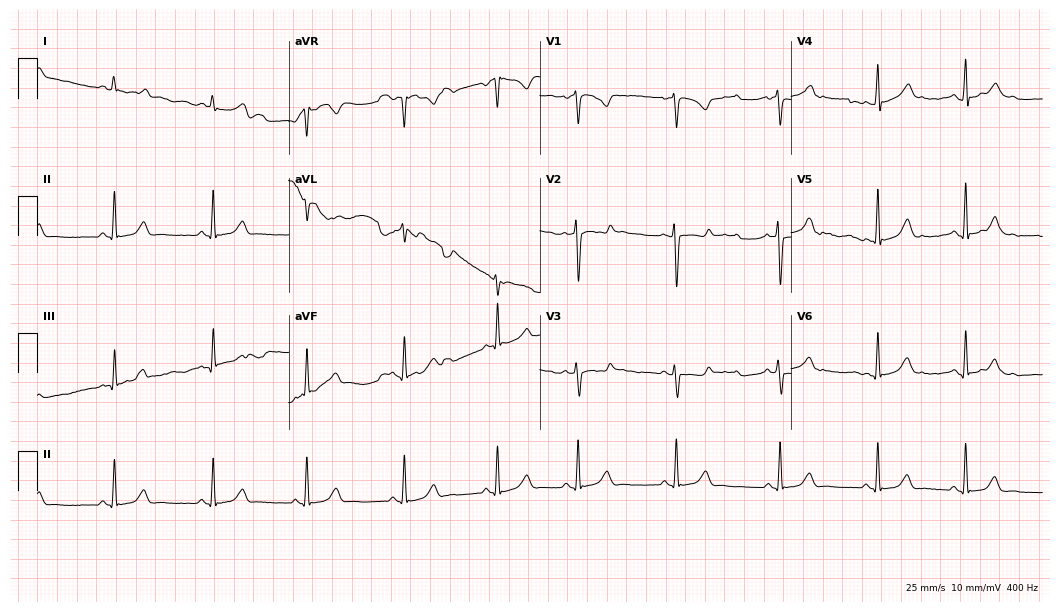
Resting 12-lead electrocardiogram. Patient: a 26-year-old woman. None of these six findings is recorded: first-degree AV block, right bundle branch block (RBBB), left bundle branch block (LBBB), sinus bradycardia, atrial fibrillation (AF), sinus tachycardia.